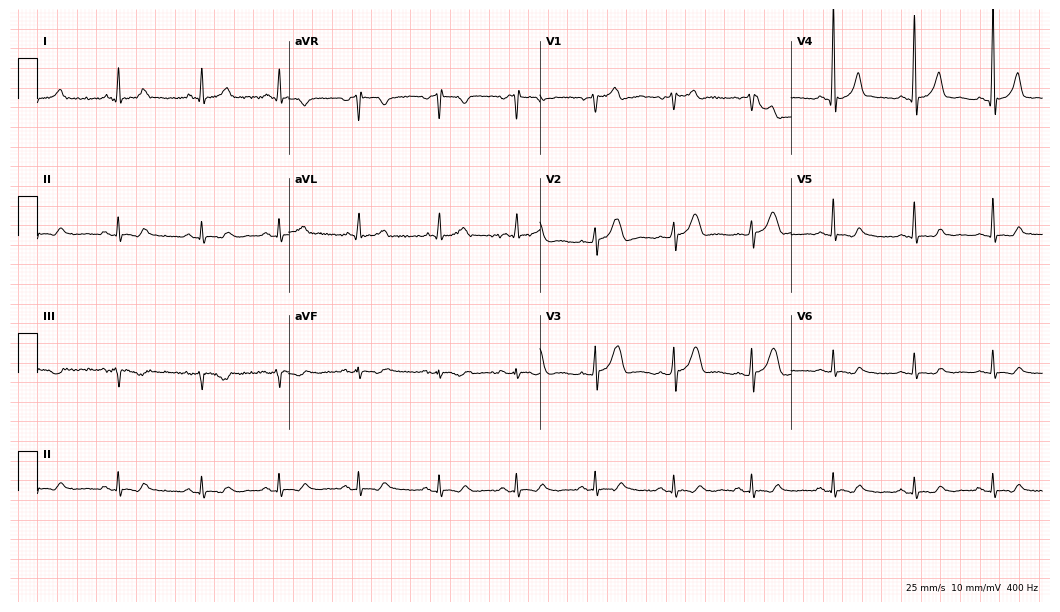
Electrocardiogram (10.2-second recording at 400 Hz), a 48-year-old woman. Of the six screened findings (first-degree AV block, right bundle branch block, left bundle branch block, sinus bradycardia, atrial fibrillation, sinus tachycardia), none is recorded.